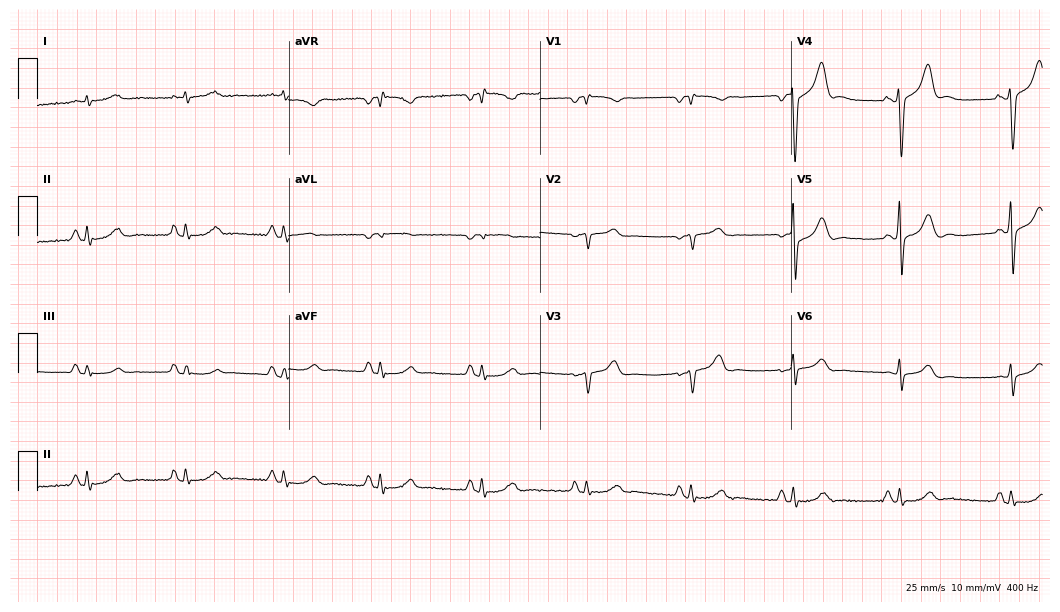
12-lead ECG (10.2-second recording at 400 Hz) from a 78-year-old male patient. Screened for six findings — first-degree AV block, right bundle branch block, left bundle branch block, sinus bradycardia, atrial fibrillation, sinus tachycardia — none is recorded.